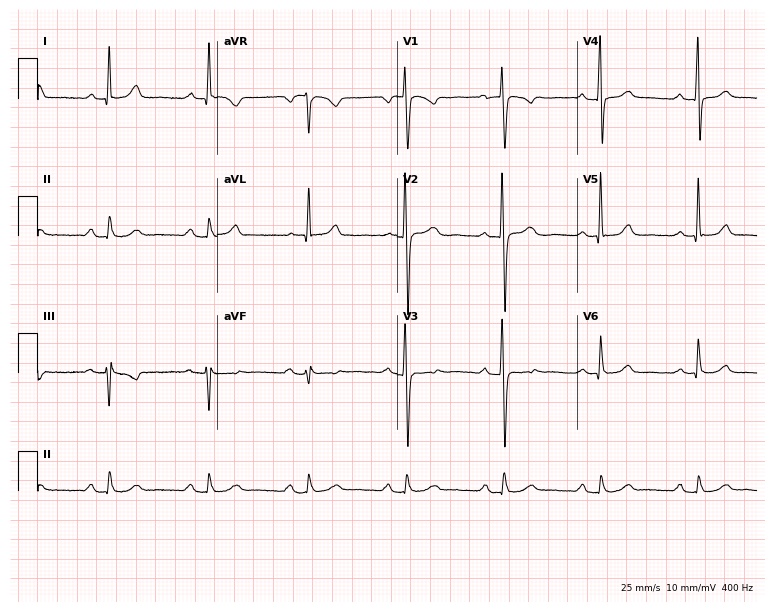
12-lead ECG from a 65-year-old male patient (7.3-second recording at 400 Hz). Recorded interpretation: within normal limits.